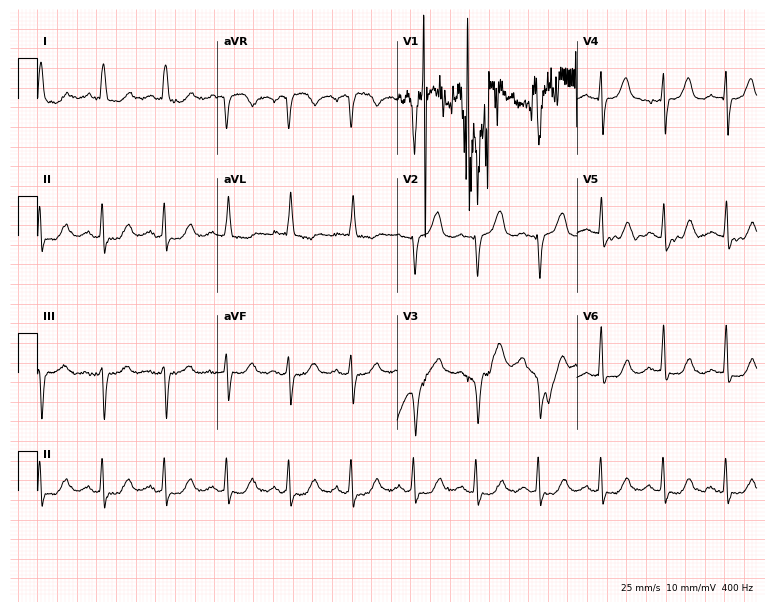
Electrocardiogram (7.3-second recording at 400 Hz), a female, 85 years old. Of the six screened findings (first-degree AV block, right bundle branch block (RBBB), left bundle branch block (LBBB), sinus bradycardia, atrial fibrillation (AF), sinus tachycardia), none is recorded. Only these six findings were labelled.